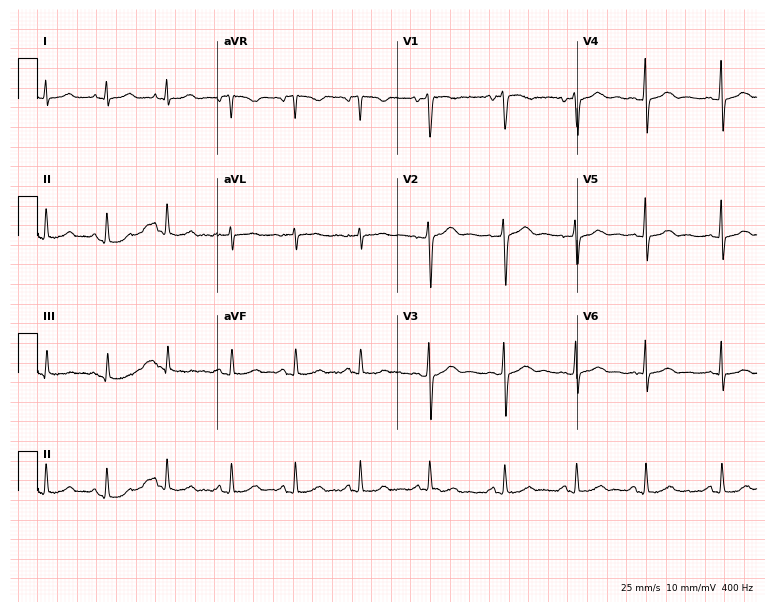
Resting 12-lead electrocardiogram (7.3-second recording at 400 Hz). Patient: a woman, 45 years old. Read as a normal ECG.